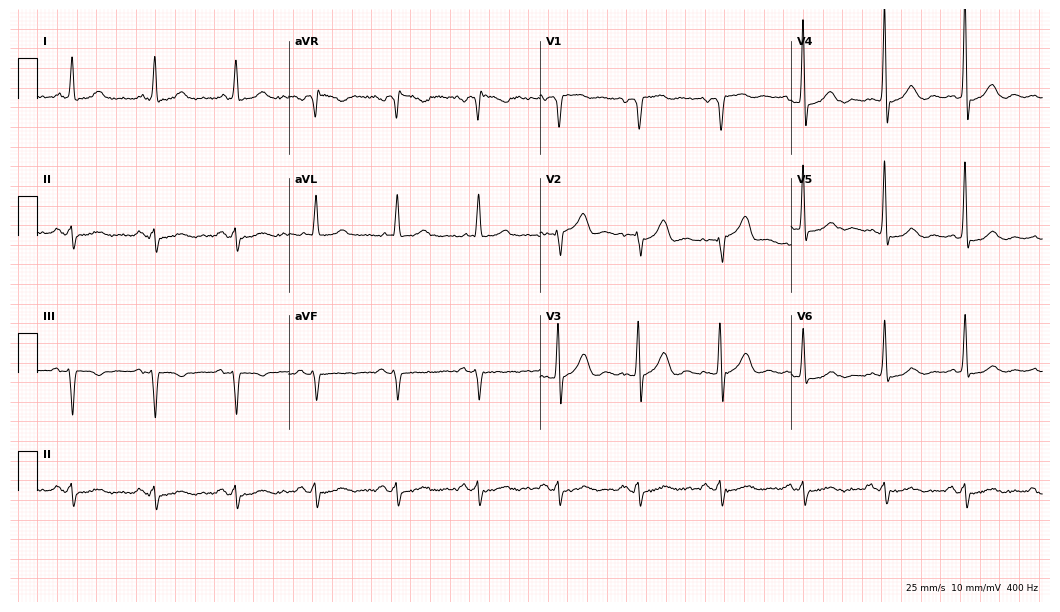
12-lead ECG from a 79-year-old male (10.2-second recording at 400 Hz). No first-degree AV block, right bundle branch block (RBBB), left bundle branch block (LBBB), sinus bradycardia, atrial fibrillation (AF) or sinus tachycardia recorded for this tracing.